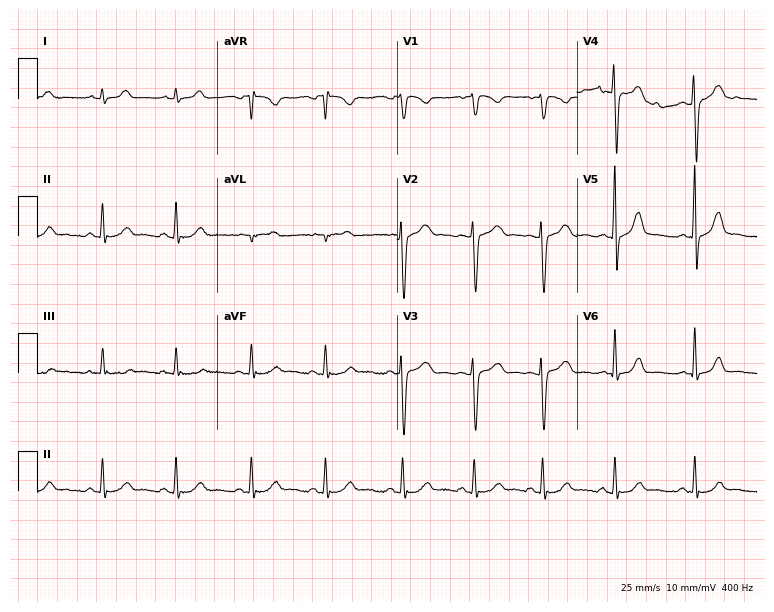
ECG (7.3-second recording at 400 Hz) — a female, 24 years old. Labelled as a normal ECG.